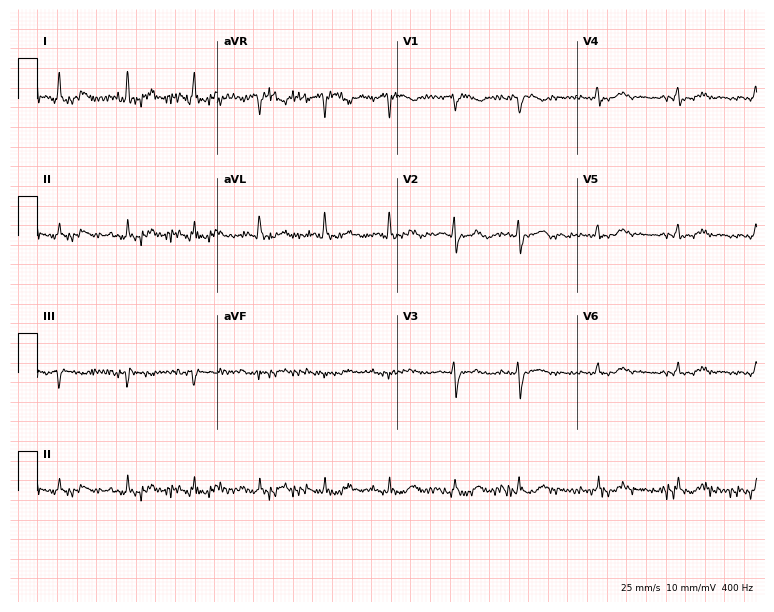
Electrocardiogram (7.3-second recording at 400 Hz), a female, 66 years old. Of the six screened findings (first-degree AV block, right bundle branch block, left bundle branch block, sinus bradycardia, atrial fibrillation, sinus tachycardia), none is recorded. Only these six findings were labelled.